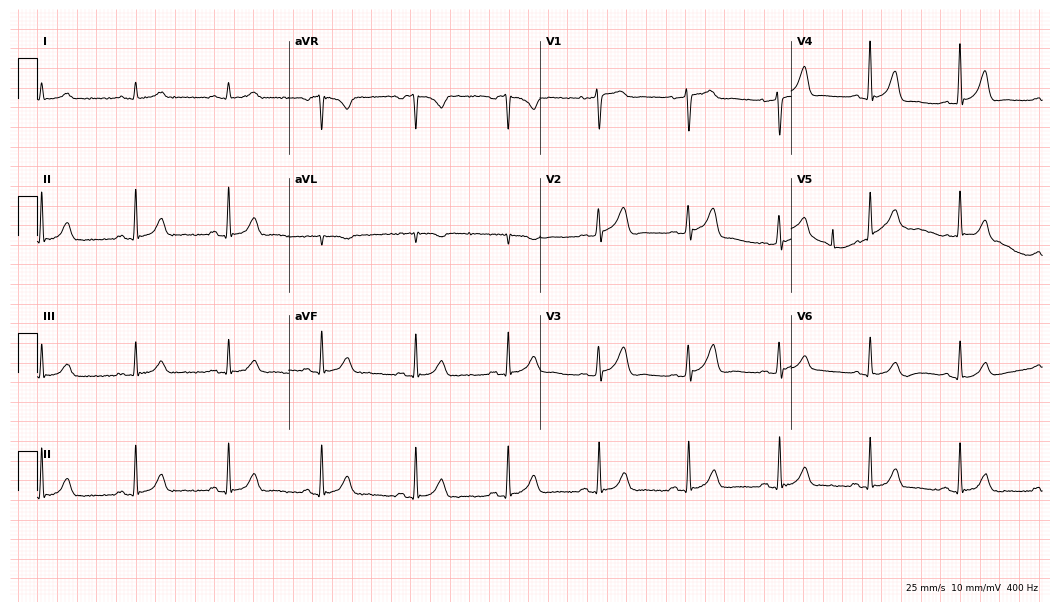
12-lead ECG from a 62-year-old male patient. Labelled as a normal ECG.